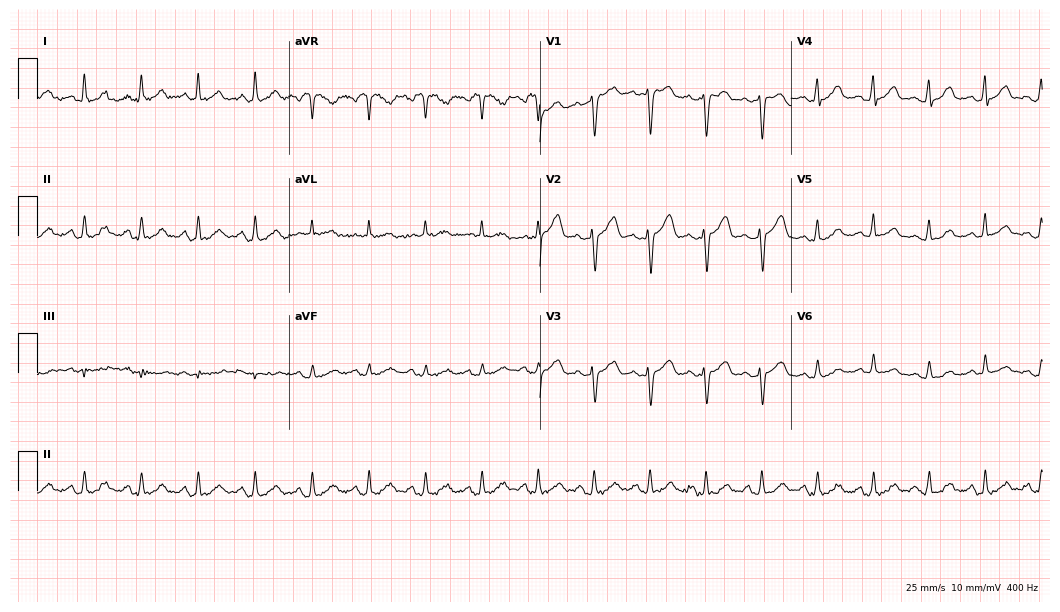
12-lead ECG (10.2-second recording at 400 Hz) from a male, 37 years old. Findings include sinus tachycardia (a sinus rate of 100 beats per minute or more).